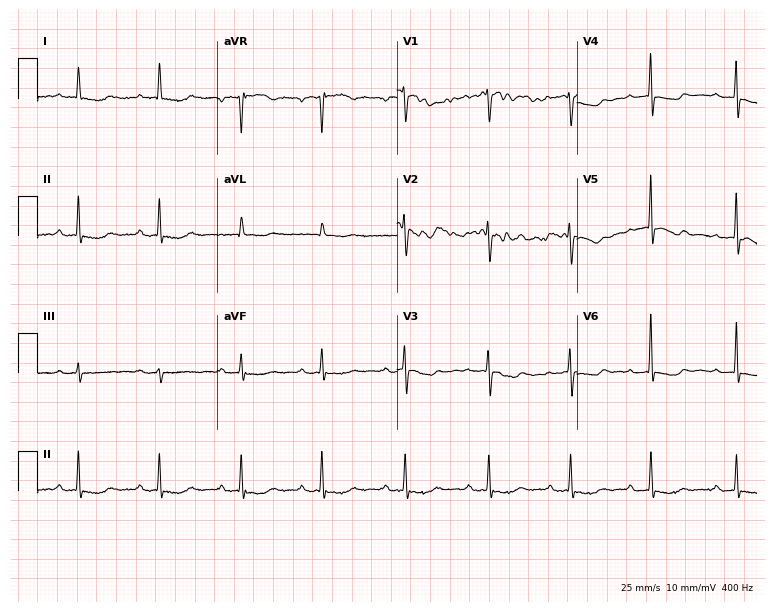
Standard 12-lead ECG recorded from a female, 79 years old. None of these six findings is recorded: first-degree AV block, right bundle branch block (RBBB), left bundle branch block (LBBB), sinus bradycardia, atrial fibrillation (AF), sinus tachycardia.